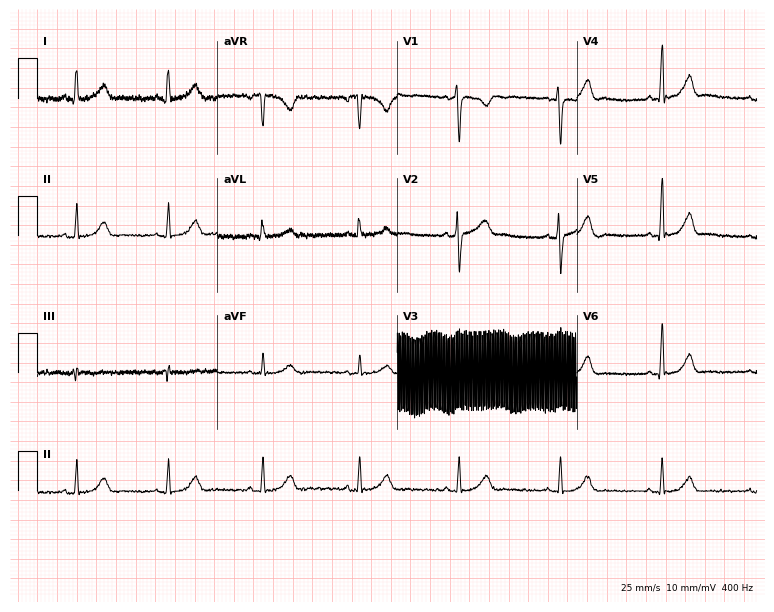
12-lead ECG (7.3-second recording at 400 Hz) from a female patient, 44 years old. Screened for six findings — first-degree AV block, right bundle branch block, left bundle branch block, sinus bradycardia, atrial fibrillation, sinus tachycardia — none is recorded.